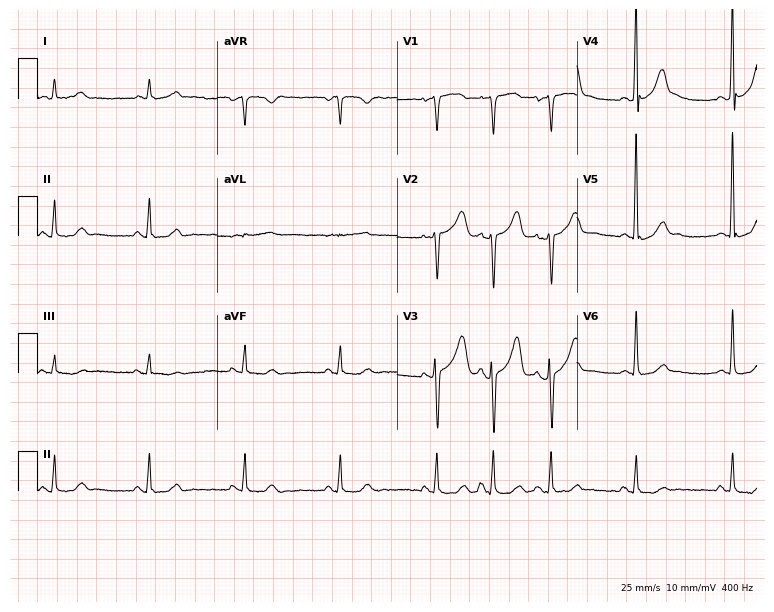
Standard 12-lead ECG recorded from a man, 75 years old (7.3-second recording at 400 Hz). None of these six findings is recorded: first-degree AV block, right bundle branch block, left bundle branch block, sinus bradycardia, atrial fibrillation, sinus tachycardia. Only these six findings were labelled.